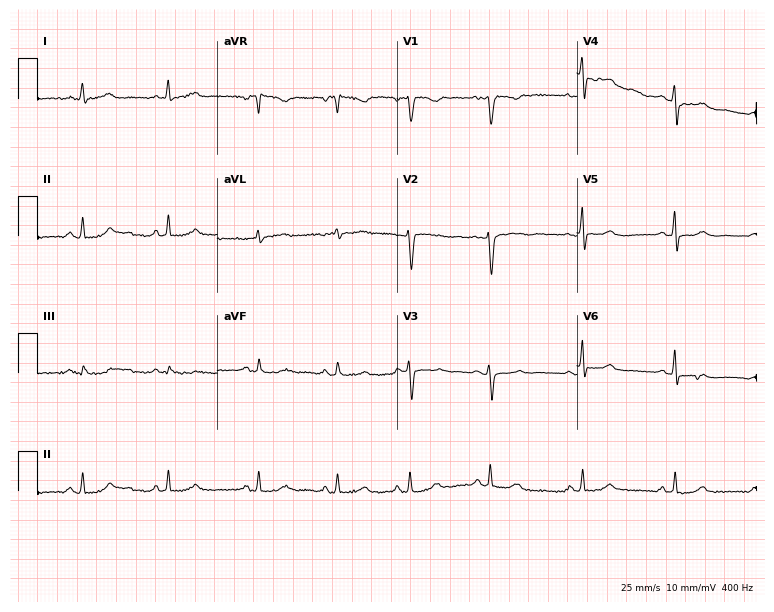
12-lead ECG from a female, 40 years old. No first-degree AV block, right bundle branch block, left bundle branch block, sinus bradycardia, atrial fibrillation or sinus tachycardia recorded for this tracing. Other findings, if any, are not listed.